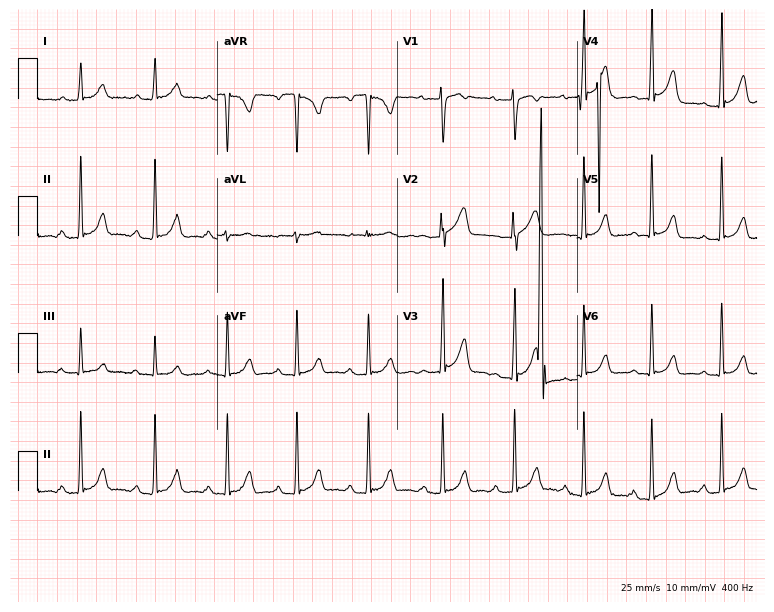
12-lead ECG from a 19-year-old woman. Labelled as a normal ECG.